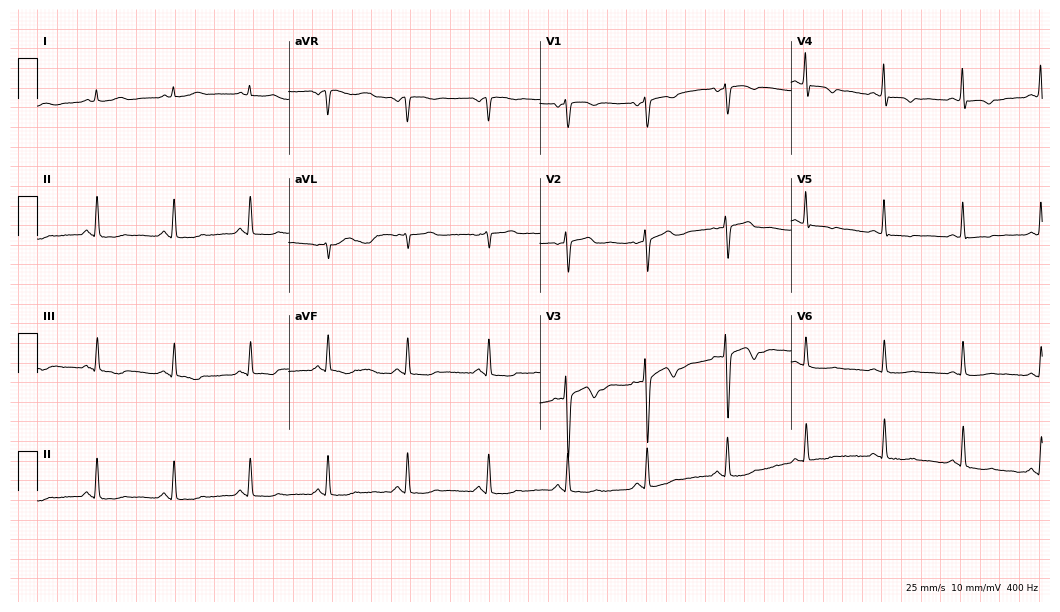
12-lead ECG (10.2-second recording at 400 Hz) from a 50-year-old woman. Screened for six findings — first-degree AV block, right bundle branch block (RBBB), left bundle branch block (LBBB), sinus bradycardia, atrial fibrillation (AF), sinus tachycardia — none is recorded. Findings outside these six are not listed.